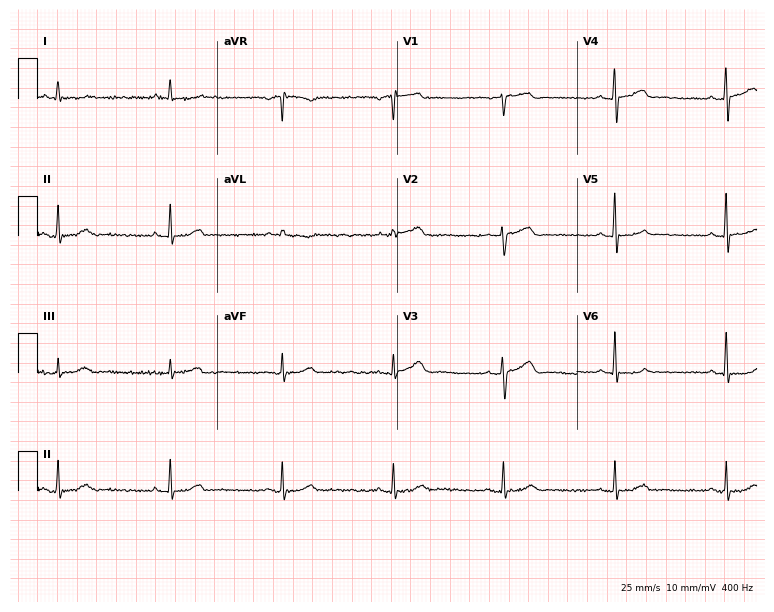
ECG — a man, 80 years old. Labelled as a normal ECG.